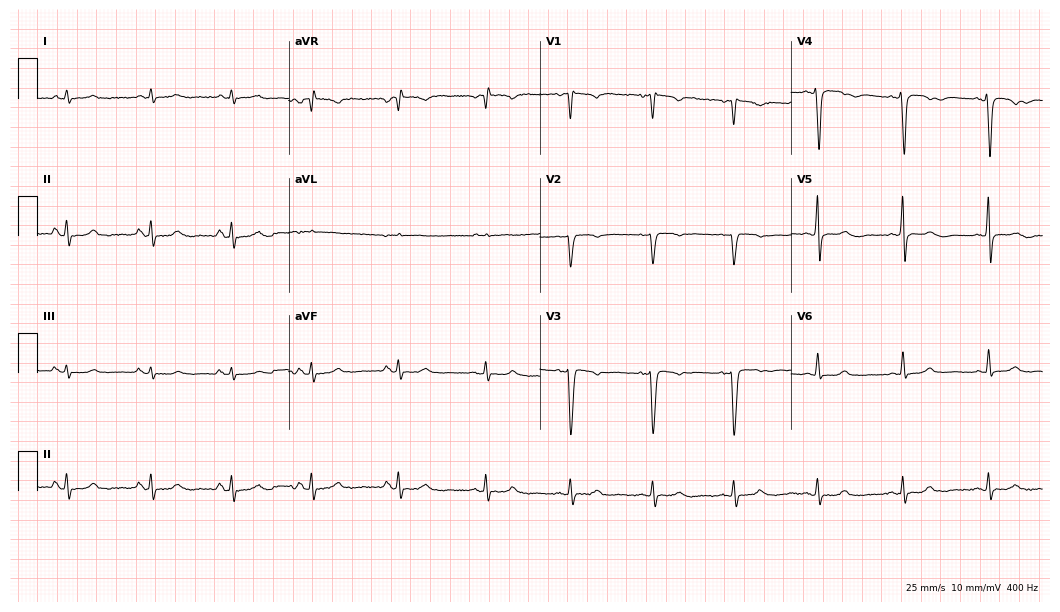
Standard 12-lead ECG recorded from a female, 51 years old. None of these six findings is recorded: first-degree AV block, right bundle branch block, left bundle branch block, sinus bradycardia, atrial fibrillation, sinus tachycardia. Only these six findings were labelled.